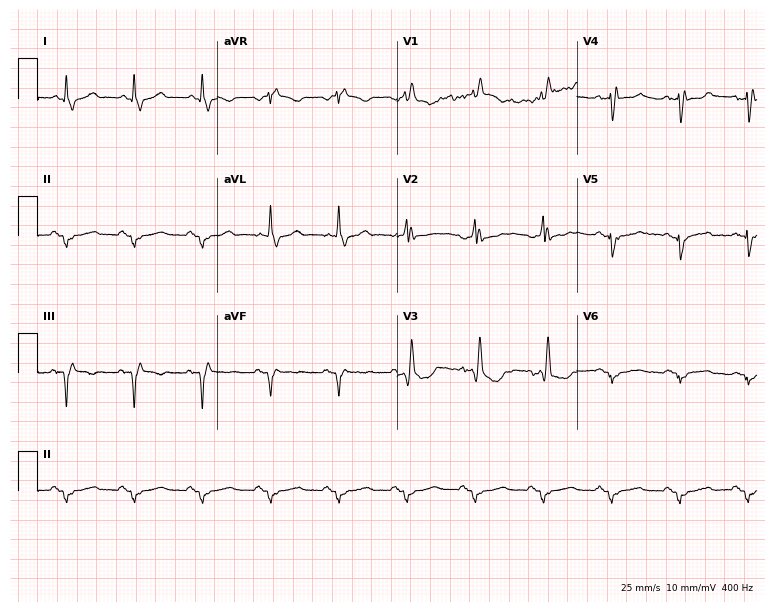
12-lead ECG (7.3-second recording at 400 Hz) from an 82-year-old man. Findings include right bundle branch block (RBBB).